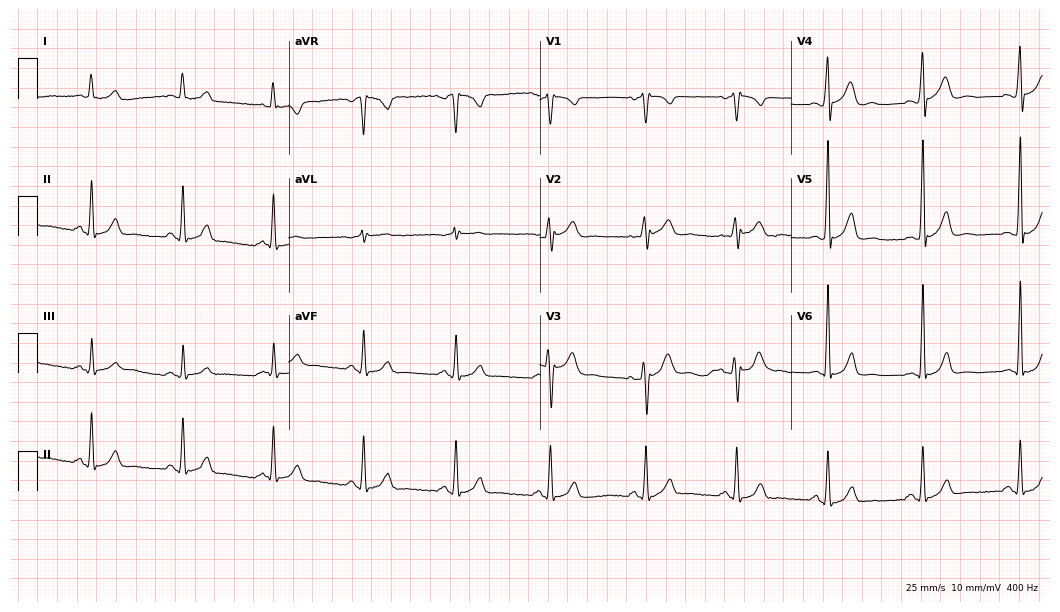
12-lead ECG from a man, 40 years old. Labelled as a normal ECG.